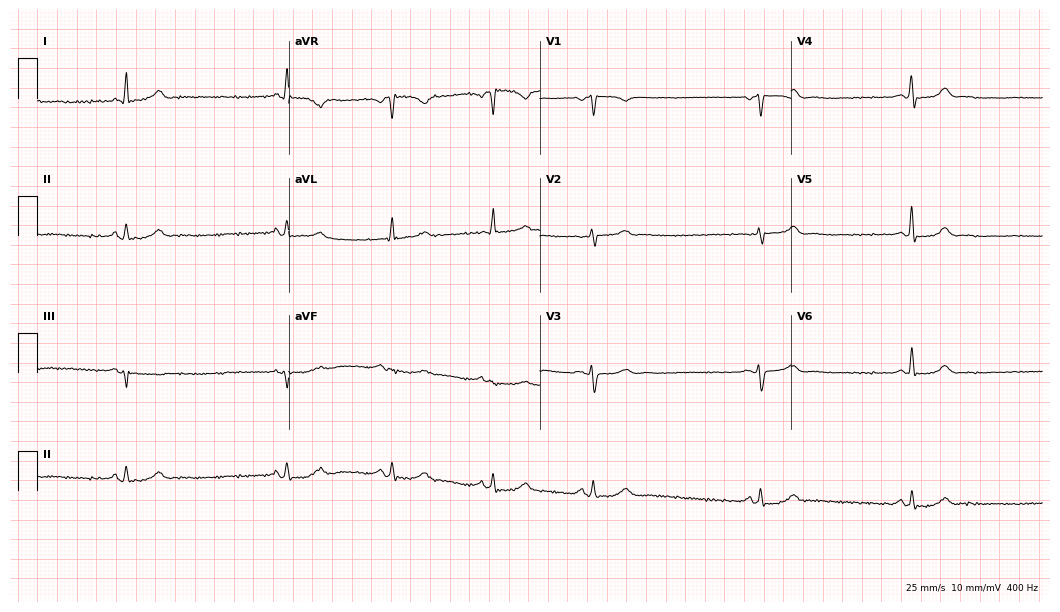
Electrocardiogram, an 82-year-old woman. Of the six screened findings (first-degree AV block, right bundle branch block, left bundle branch block, sinus bradycardia, atrial fibrillation, sinus tachycardia), none is recorded.